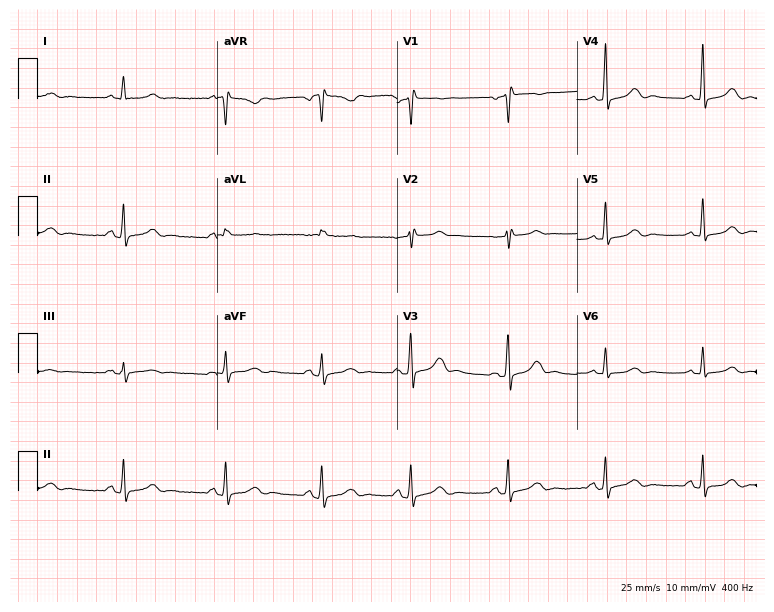
Electrocardiogram, a 56-year-old female. Of the six screened findings (first-degree AV block, right bundle branch block, left bundle branch block, sinus bradycardia, atrial fibrillation, sinus tachycardia), none is recorded. Only these six findings were labelled.